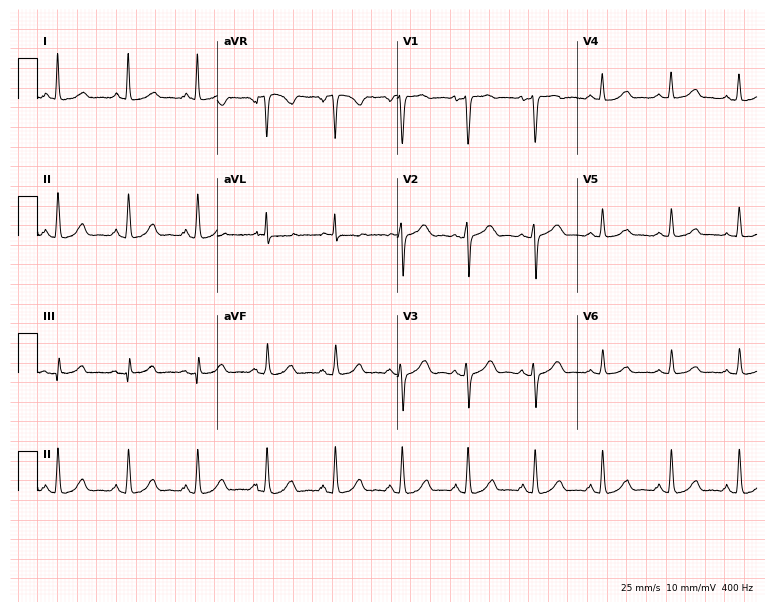
12-lead ECG from a 62-year-old woman (7.3-second recording at 400 Hz). No first-degree AV block, right bundle branch block, left bundle branch block, sinus bradycardia, atrial fibrillation or sinus tachycardia recorded for this tracing. Other findings, if any, are not listed.